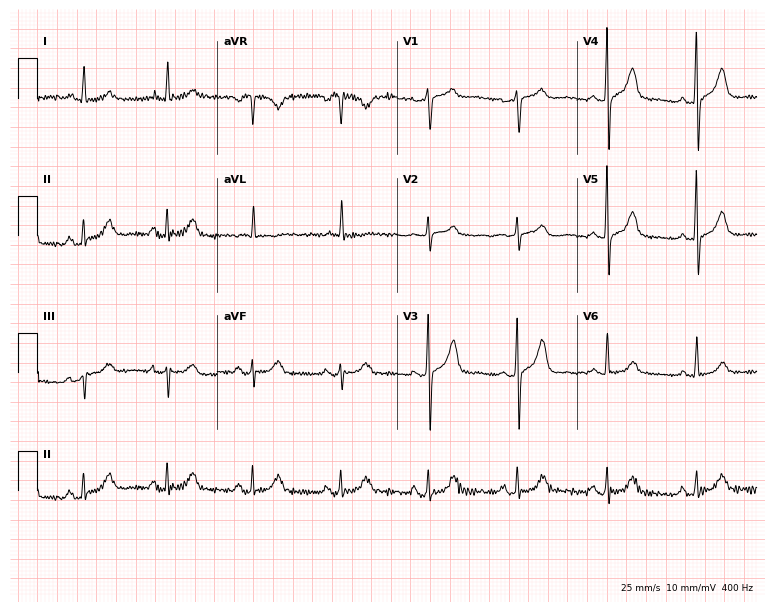
Resting 12-lead electrocardiogram. Patient: a female, 72 years old. Read as a normal ECG.